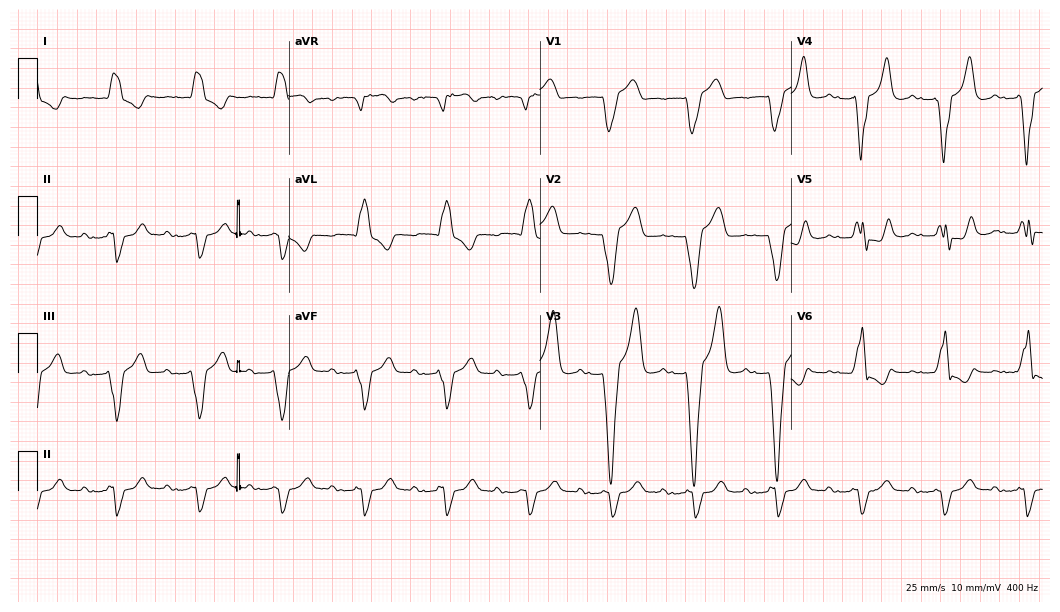
Electrocardiogram, a 74-year-old male patient. Interpretation includes first-degree AV block, left bundle branch block.